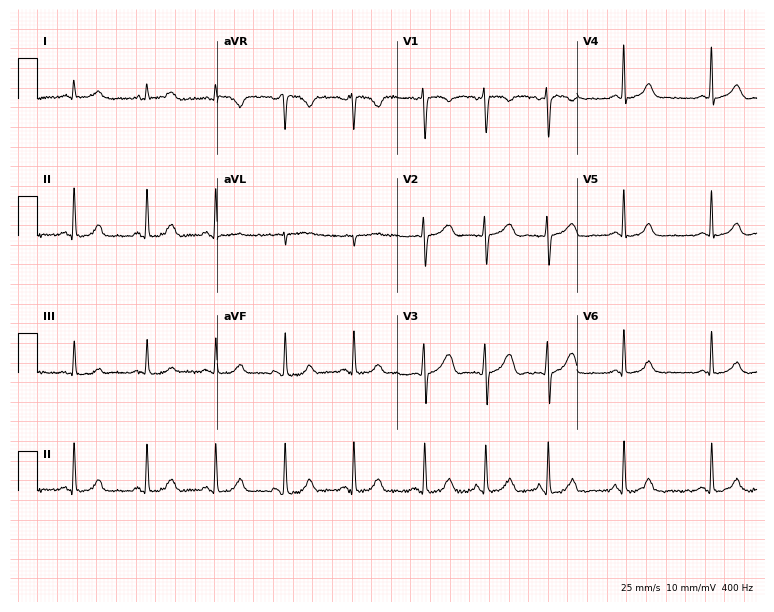
12-lead ECG from a female, 35 years old (7.3-second recording at 400 Hz). Recorded interpretation: within normal limits.